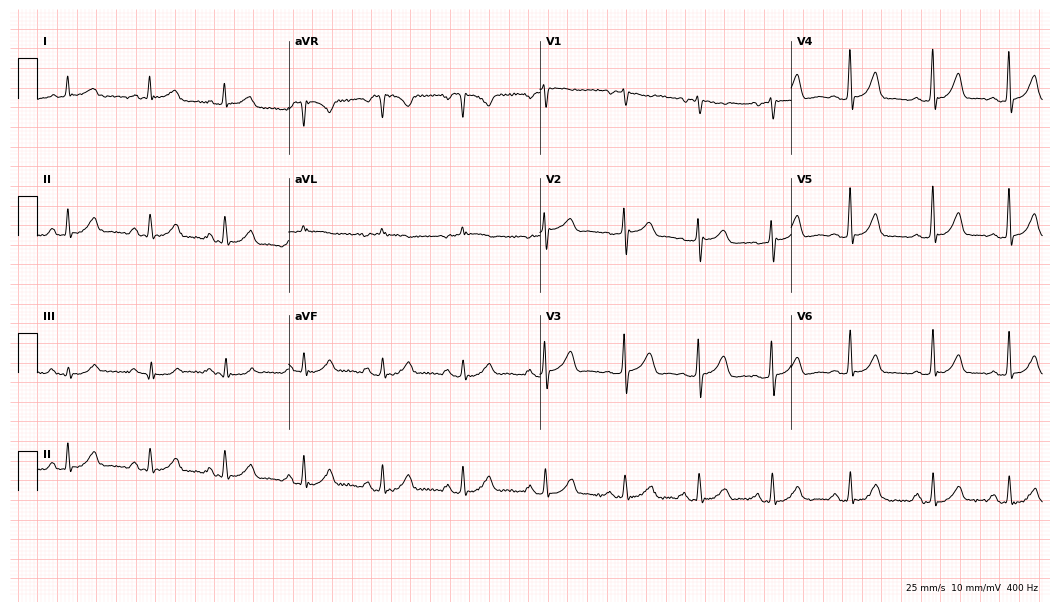
12-lead ECG from a 58-year-old woman (10.2-second recording at 400 Hz). Recorded interpretation: within normal limits.